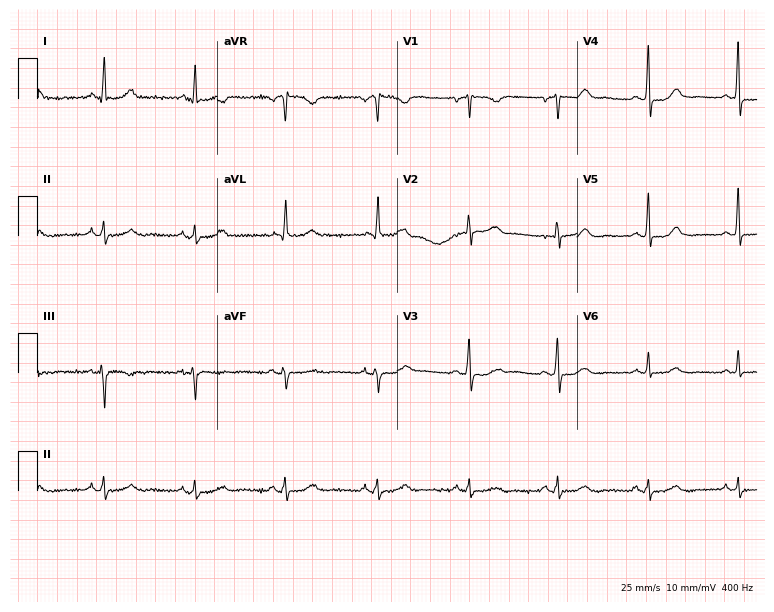
ECG — a woman, 49 years old. Labelled as a normal ECG.